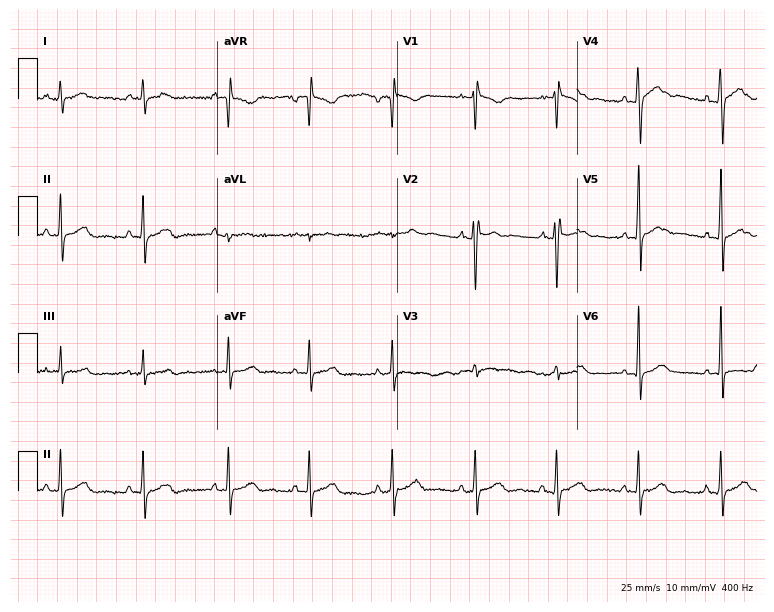
12-lead ECG from a 17-year-old male. Recorded interpretation: within normal limits.